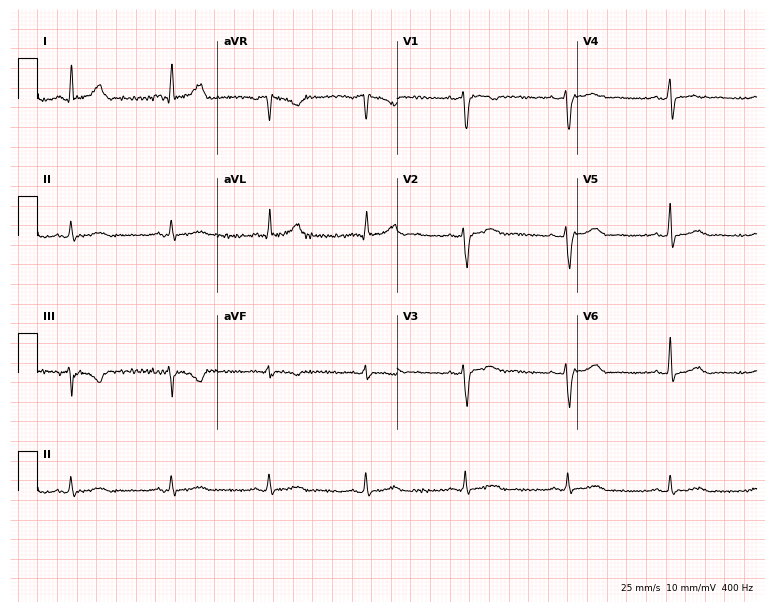
12-lead ECG from a 46-year-old female (7.3-second recording at 400 Hz). Recorded interpretation: within normal limits.